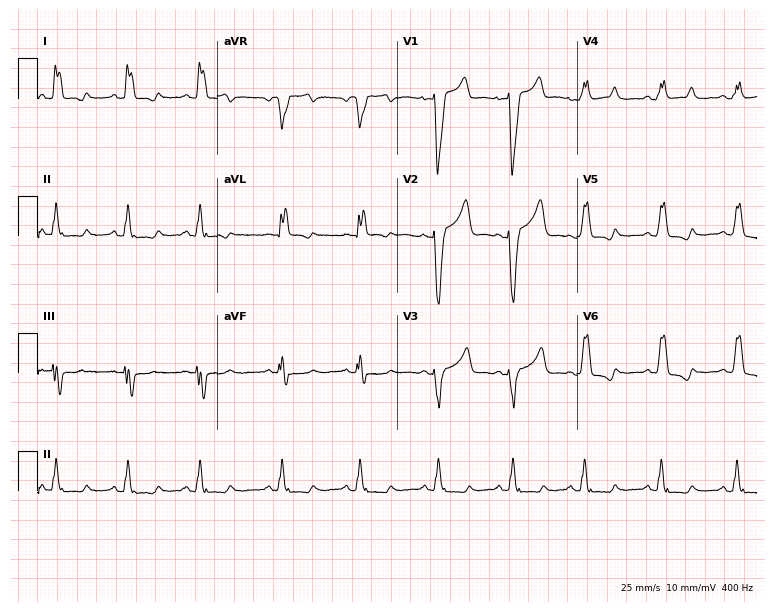
12-lead ECG from a female, 50 years old. Shows left bundle branch block (LBBB).